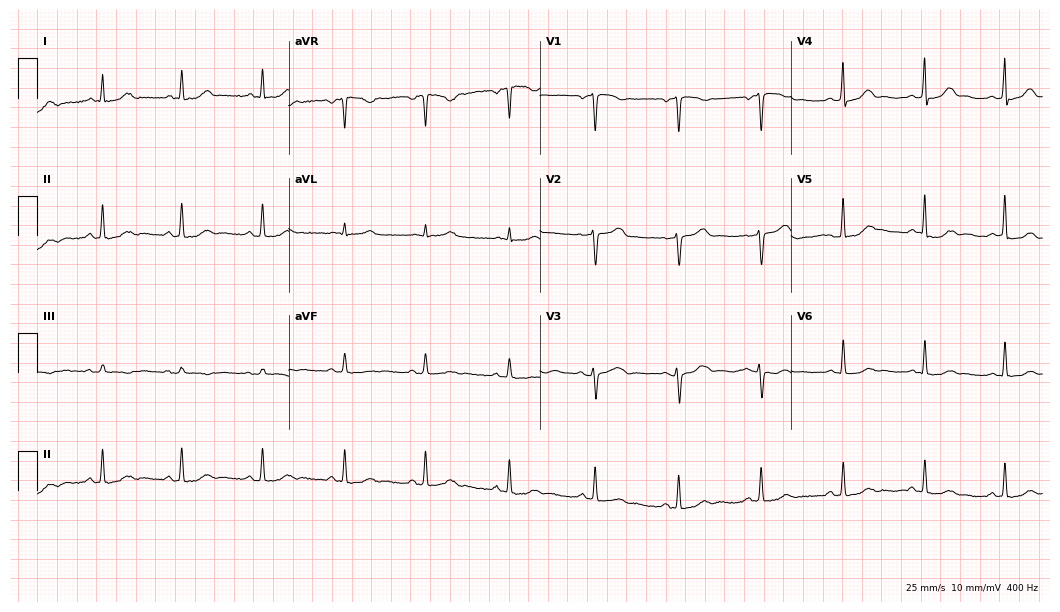
Standard 12-lead ECG recorded from a 40-year-old woman. None of these six findings is recorded: first-degree AV block, right bundle branch block, left bundle branch block, sinus bradycardia, atrial fibrillation, sinus tachycardia.